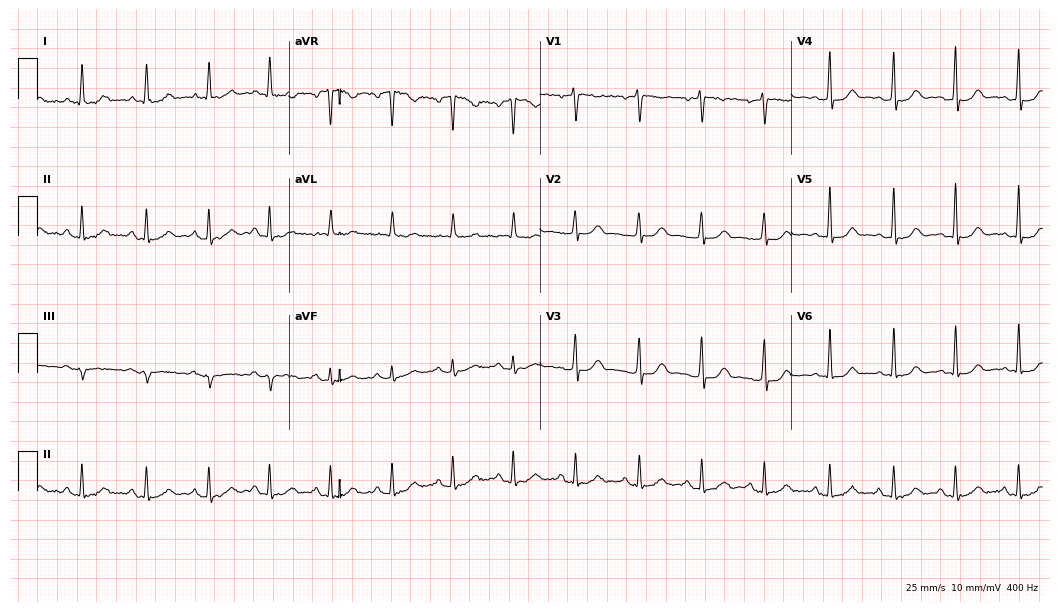
Electrocardiogram (10.2-second recording at 400 Hz), a 32-year-old female. Overall reading on record: normal ECG.